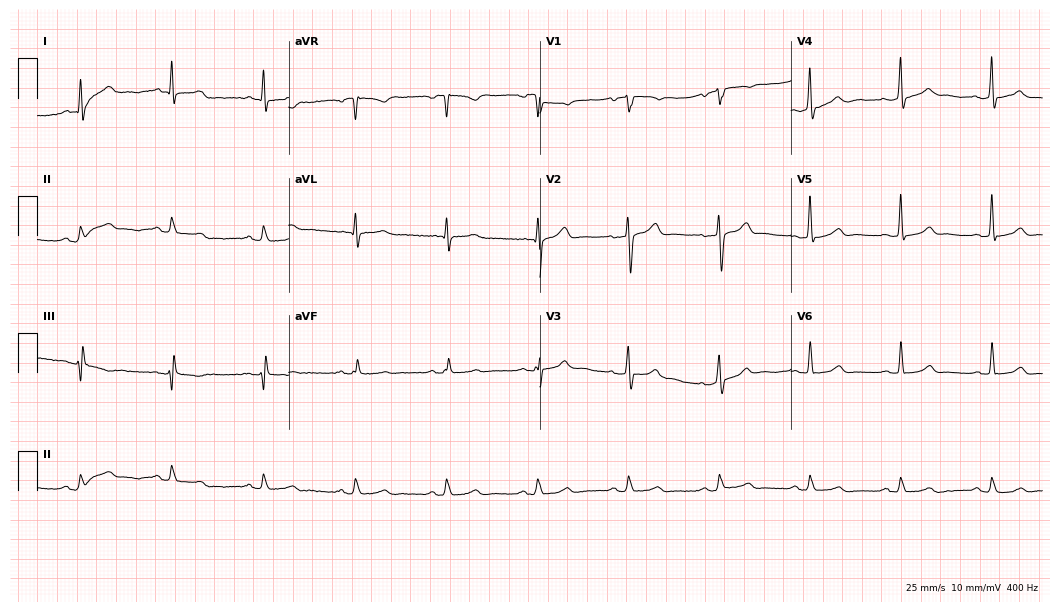
Electrocardiogram, a man, 46 years old. Overall reading on record: normal ECG.